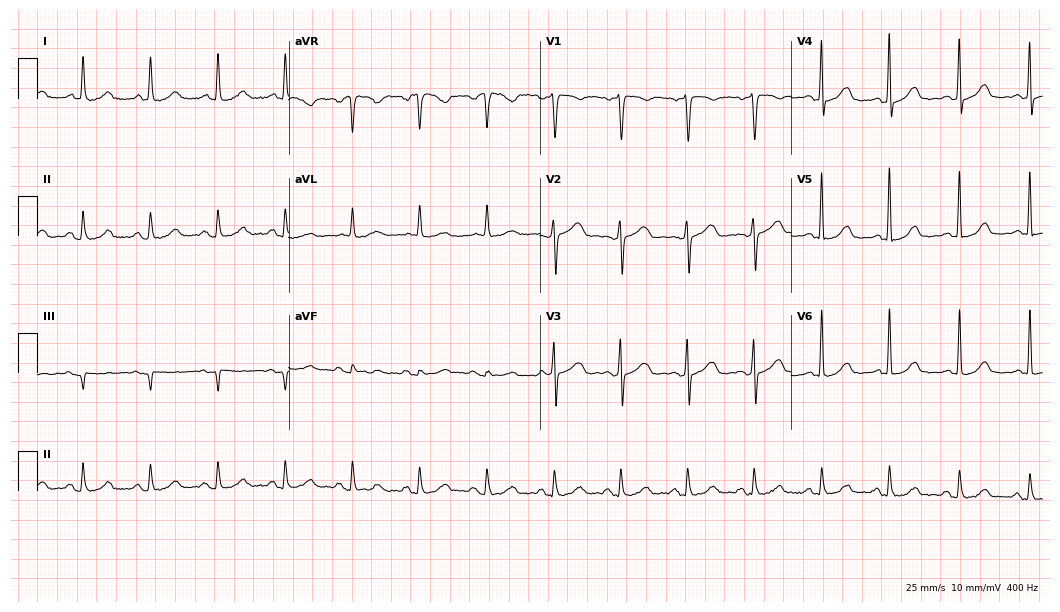
Resting 12-lead electrocardiogram (10.2-second recording at 400 Hz). Patient: a female, 65 years old. Read as a normal ECG.